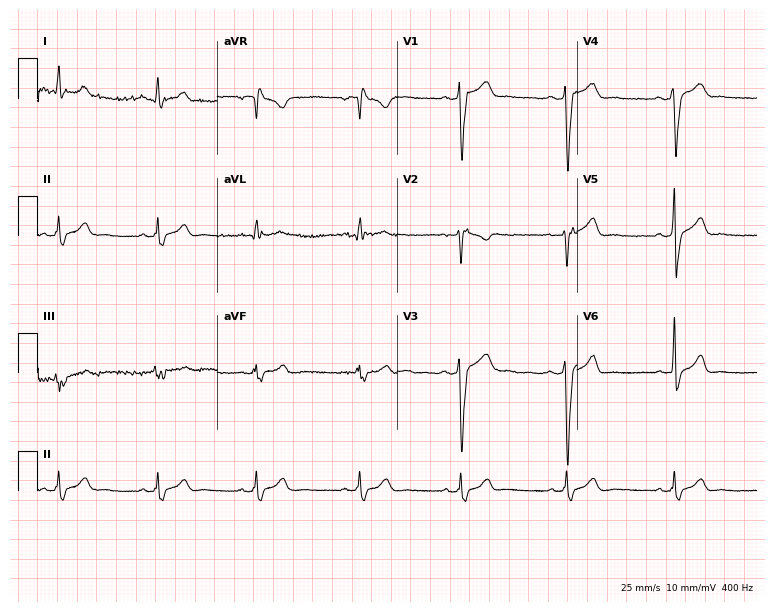
Standard 12-lead ECG recorded from a man, 31 years old (7.3-second recording at 400 Hz). None of these six findings is recorded: first-degree AV block, right bundle branch block, left bundle branch block, sinus bradycardia, atrial fibrillation, sinus tachycardia. Only these six findings were labelled.